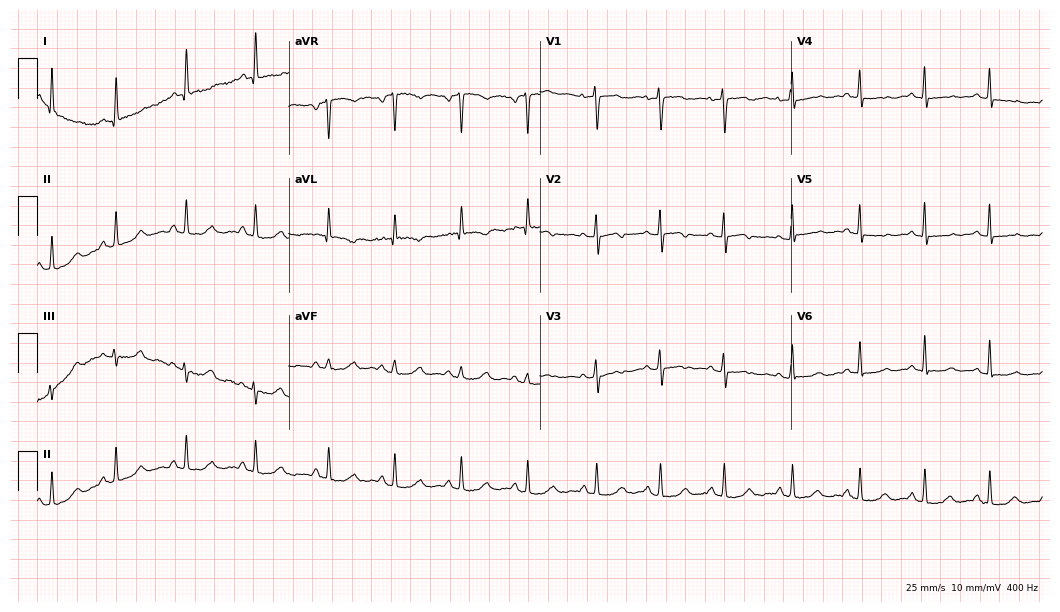
12-lead ECG from a female patient, 51 years old. Recorded interpretation: within normal limits.